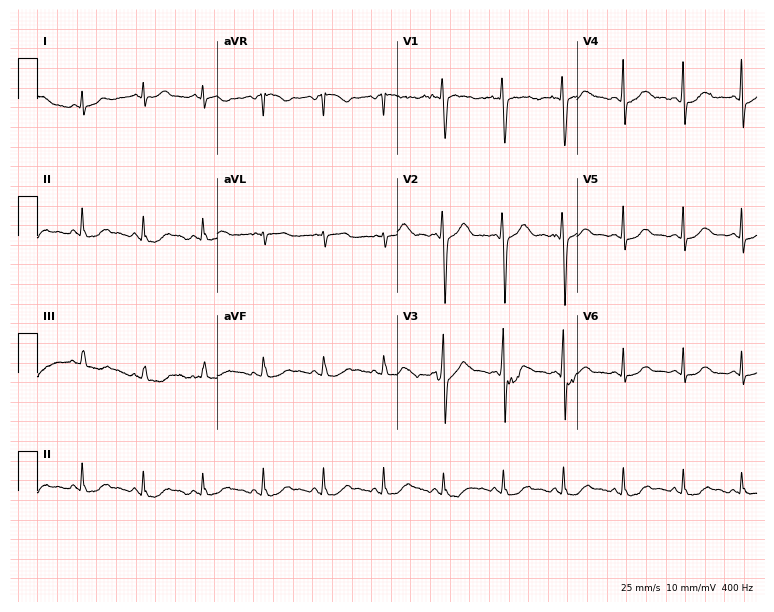
12-lead ECG from a 19-year-old female (7.3-second recording at 400 Hz). No first-degree AV block, right bundle branch block, left bundle branch block, sinus bradycardia, atrial fibrillation or sinus tachycardia recorded for this tracing.